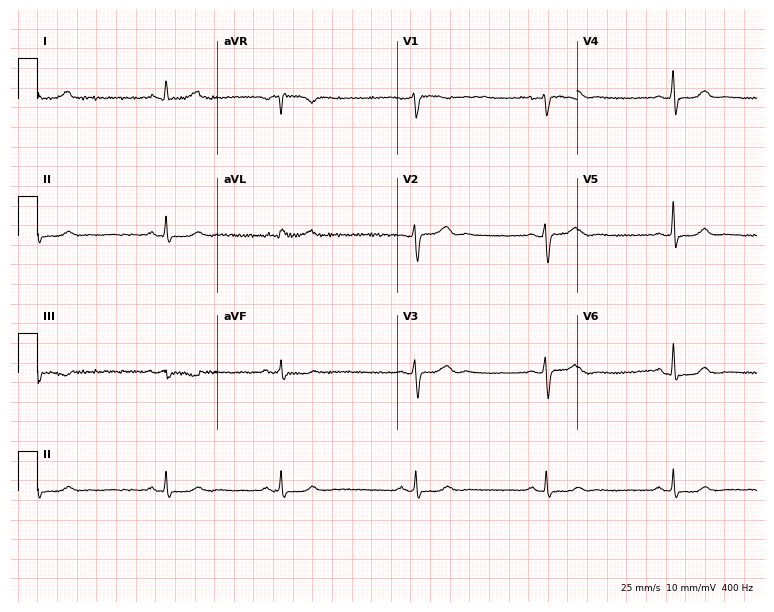
12-lead ECG from a 30-year-old female (7.3-second recording at 400 Hz). Shows sinus bradycardia (a sinus rate of 50 beats per minute or less).